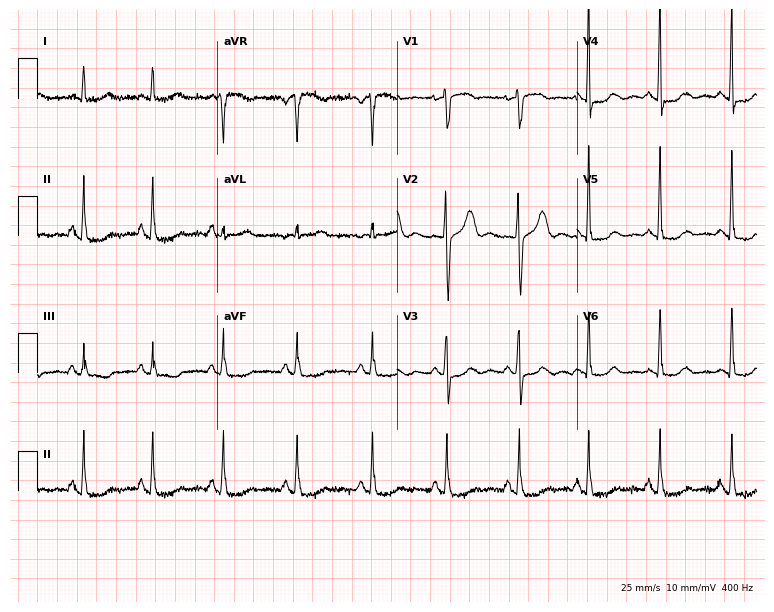
Resting 12-lead electrocardiogram (7.3-second recording at 400 Hz). Patient: a 44-year-old female. None of these six findings is recorded: first-degree AV block, right bundle branch block, left bundle branch block, sinus bradycardia, atrial fibrillation, sinus tachycardia.